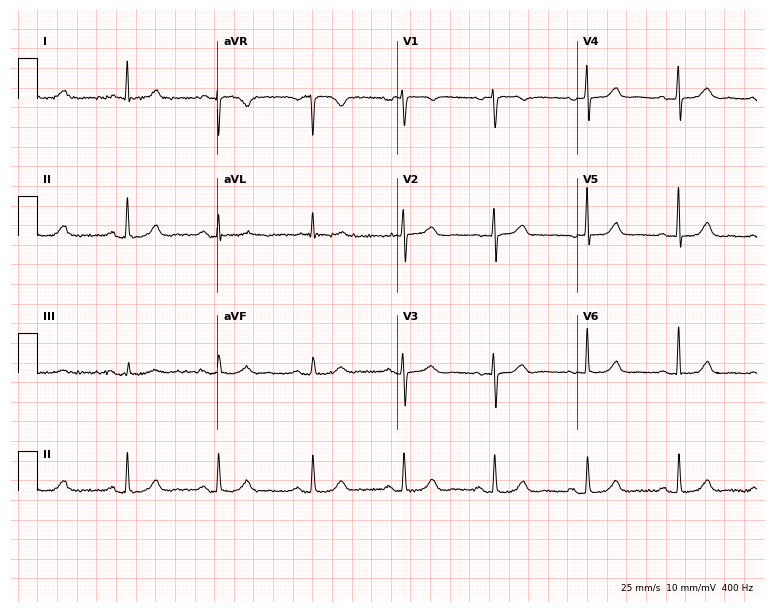
Standard 12-lead ECG recorded from a female, 76 years old (7.3-second recording at 400 Hz). Read as a normal ECG.